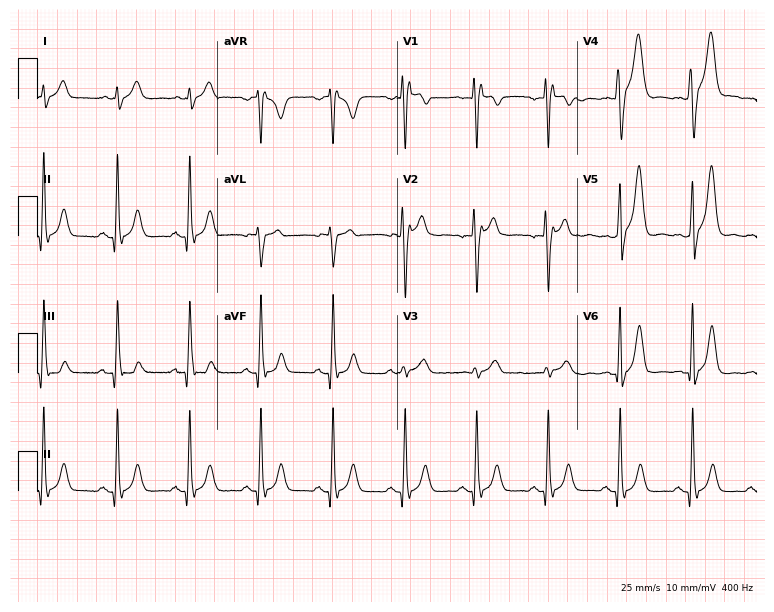
12-lead ECG from a 19-year-old male. Screened for six findings — first-degree AV block, right bundle branch block, left bundle branch block, sinus bradycardia, atrial fibrillation, sinus tachycardia — none is recorded.